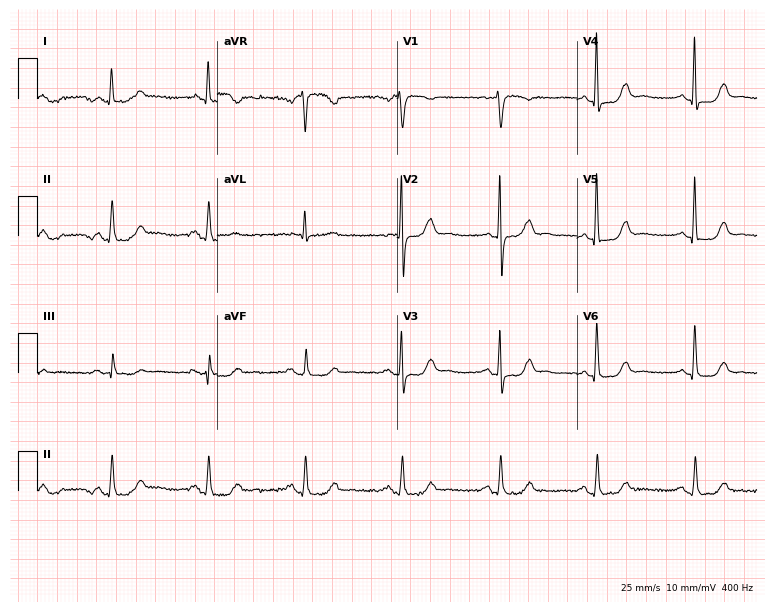
Resting 12-lead electrocardiogram. Patient: a woman, 63 years old. Read as a normal ECG.